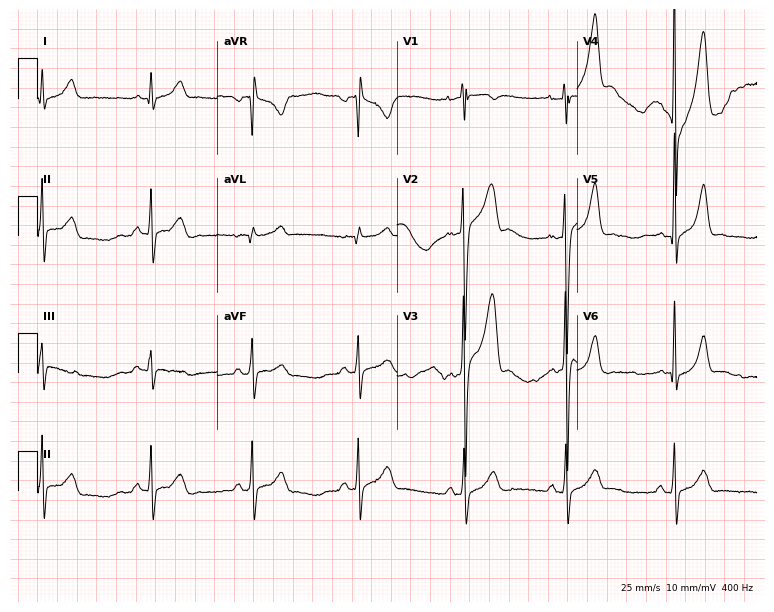
Standard 12-lead ECG recorded from a 28-year-old male. Read as a normal ECG.